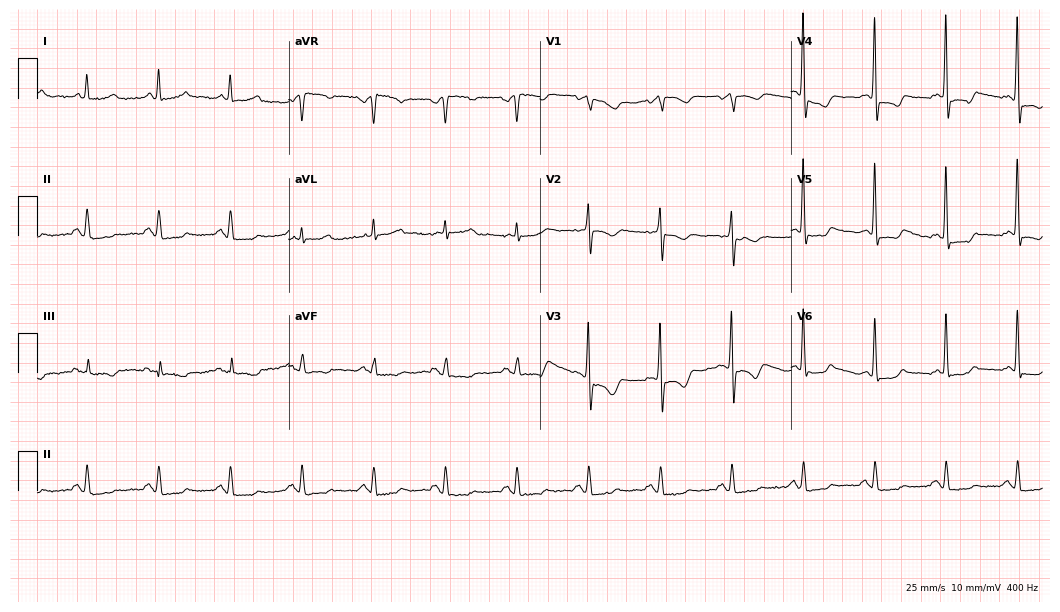
12-lead ECG from a 76-year-old woman. No first-degree AV block, right bundle branch block, left bundle branch block, sinus bradycardia, atrial fibrillation or sinus tachycardia recorded for this tracing.